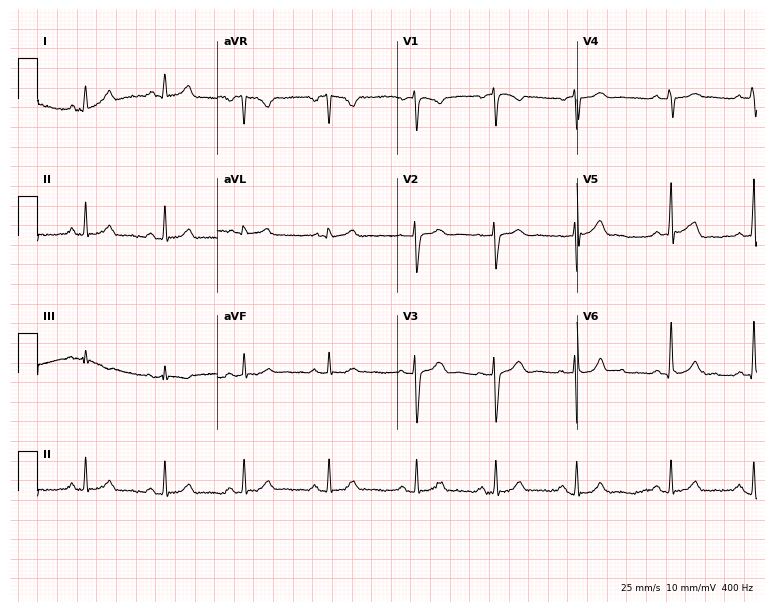
ECG — a female patient, 27 years old. Labelled as a normal ECG.